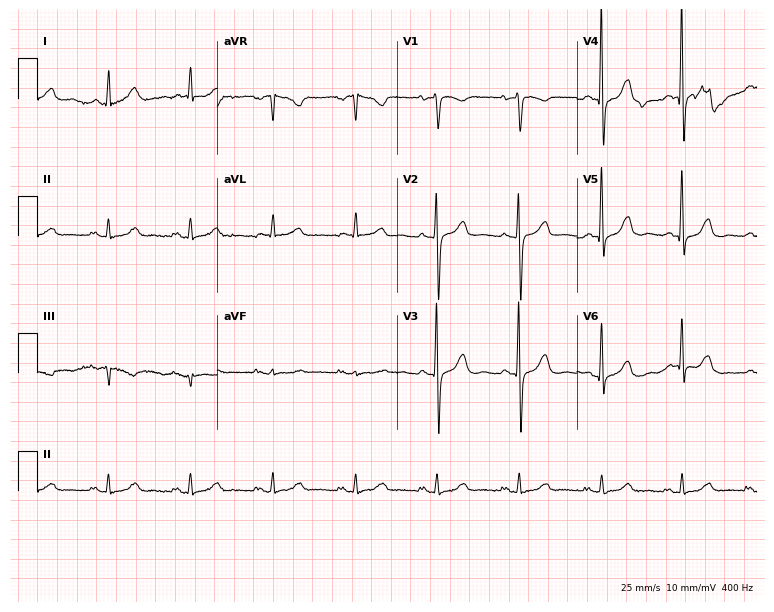
ECG (7.3-second recording at 400 Hz) — a female patient, 66 years old. Labelled as a normal ECG.